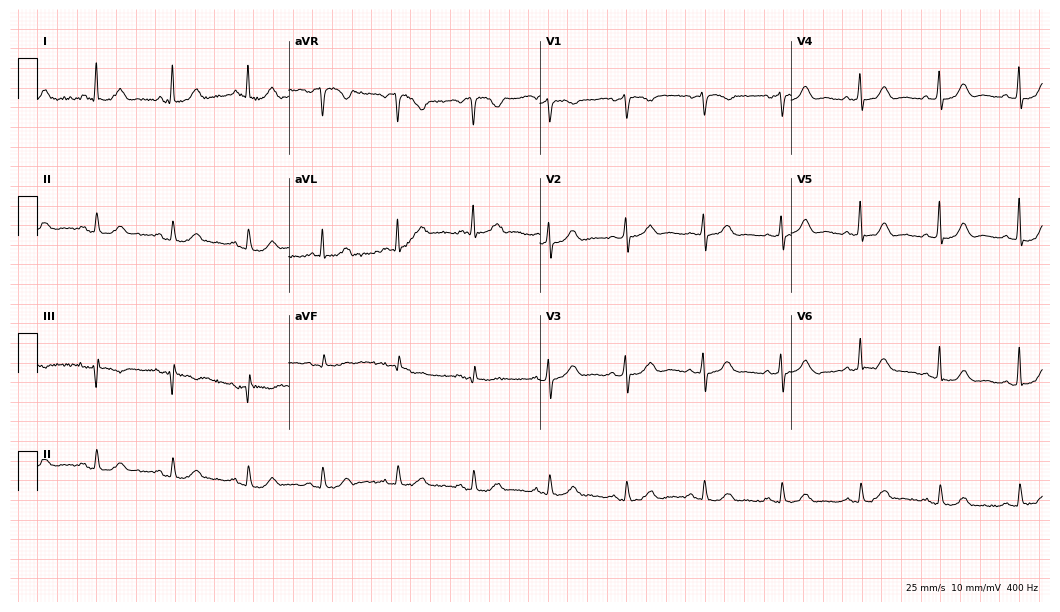
Resting 12-lead electrocardiogram. Patient: a 60-year-old female. None of these six findings is recorded: first-degree AV block, right bundle branch block (RBBB), left bundle branch block (LBBB), sinus bradycardia, atrial fibrillation (AF), sinus tachycardia.